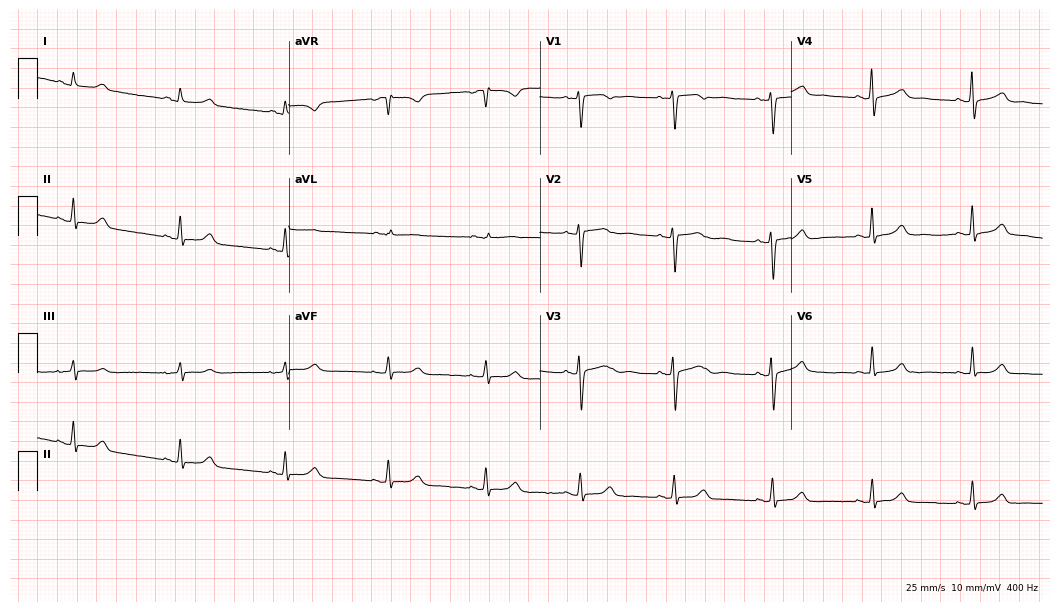
Resting 12-lead electrocardiogram. Patient: a woman, 49 years old. Read as a normal ECG.